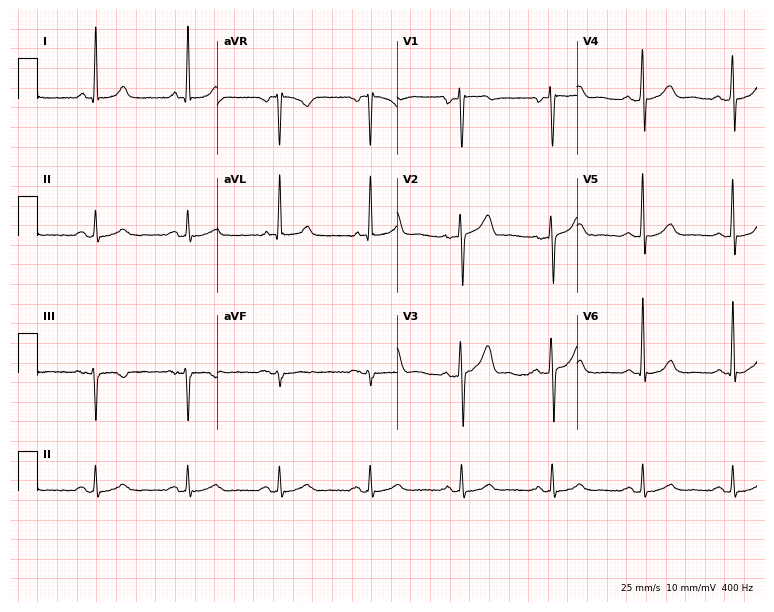
12-lead ECG from a 61-year-old male (7.3-second recording at 400 Hz). Recorded interpretation: within normal limits.